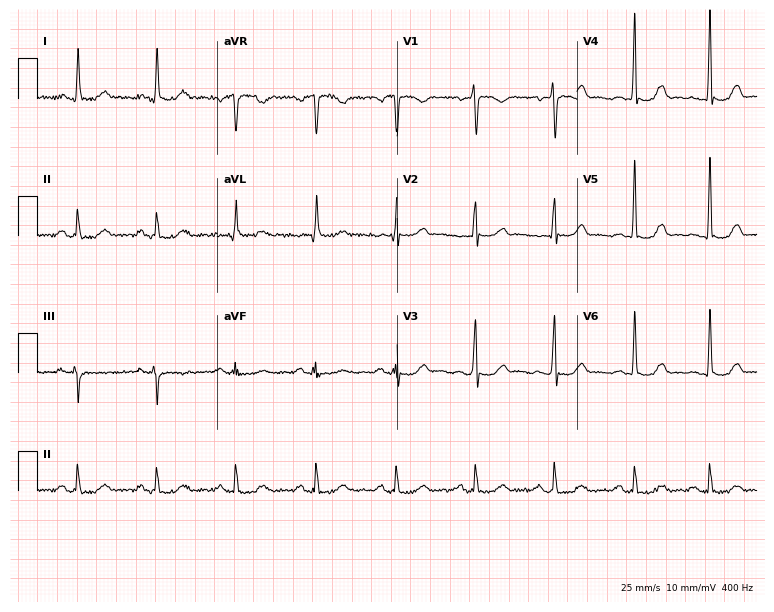
12-lead ECG from a woman, 59 years old. No first-degree AV block, right bundle branch block, left bundle branch block, sinus bradycardia, atrial fibrillation or sinus tachycardia recorded for this tracing. Findings outside these six are not listed.